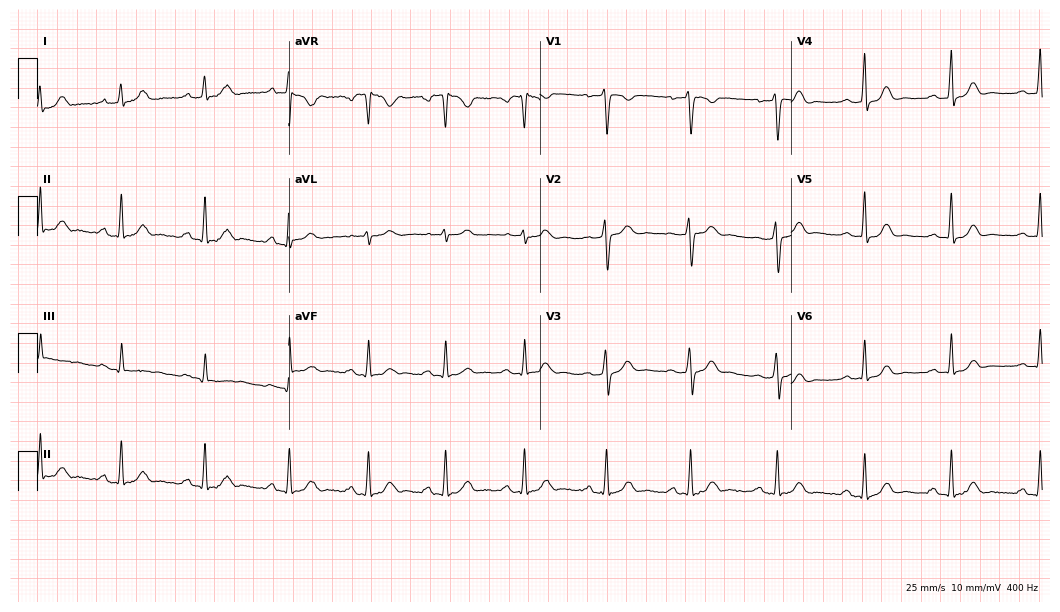
Standard 12-lead ECG recorded from a female patient, 33 years old. Read as a normal ECG.